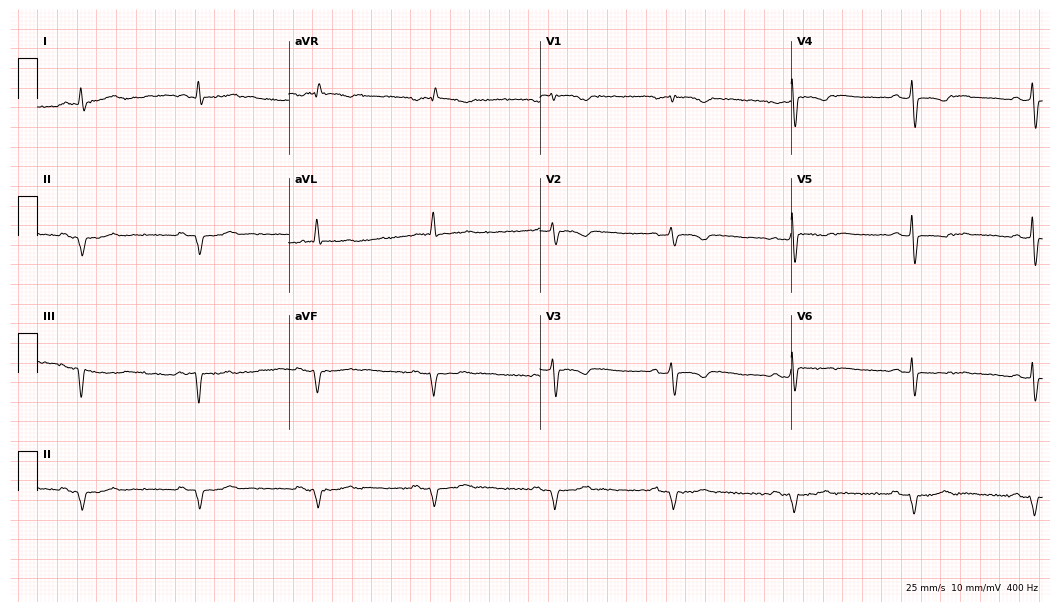
Electrocardiogram, a male patient, 79 years old. Of the six screened findings (first-degree AV block, right bundle branch block (RBBB), left bundle branch block (LBBB), sinus bradycardia, atrial fibrillation (AF), sinus tachycardia), none is recorded. Other findings, if any, are not listed.